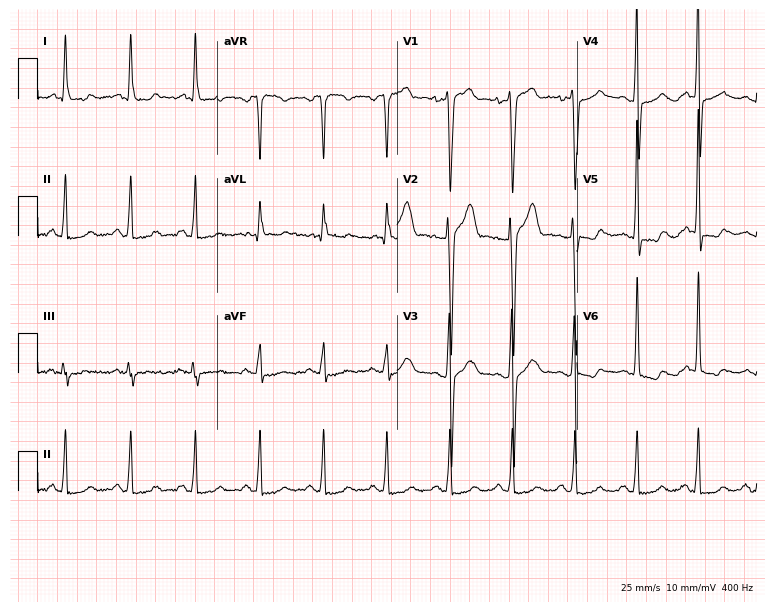
12-lead ECG from a 37-year-old man. No first-degree AV block, right bundle branch block, left bundle branch block, sinus bradycardia, atrial fibrillation or sinus tachycardia recorded for this tracing. Other findings, if any, are not listed.